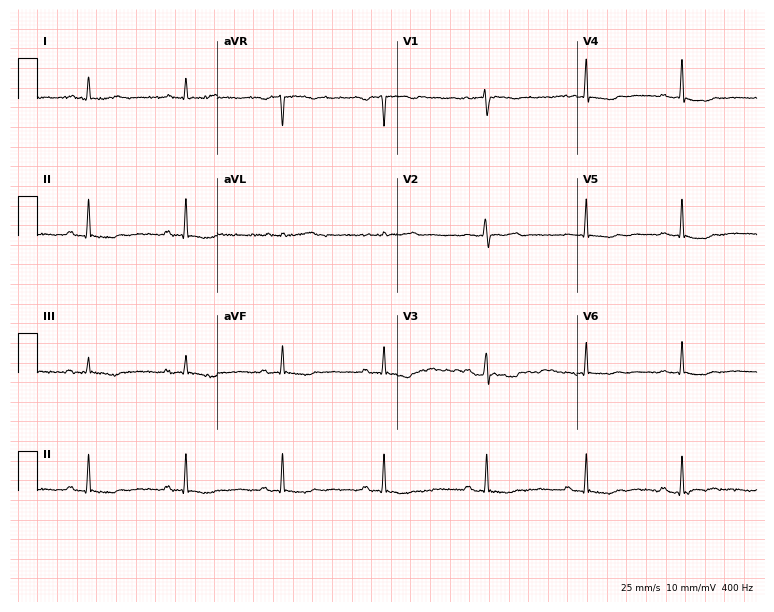
Electrocardiogram, a woman, 55 years old. Of the six screened findings (first-degree AV block, right bundle branch block, left bundle branch block, sinus bradycardia, atrial fibrillation, sinus tachycardia), none is recorded. Other findings, if any, are not listed.